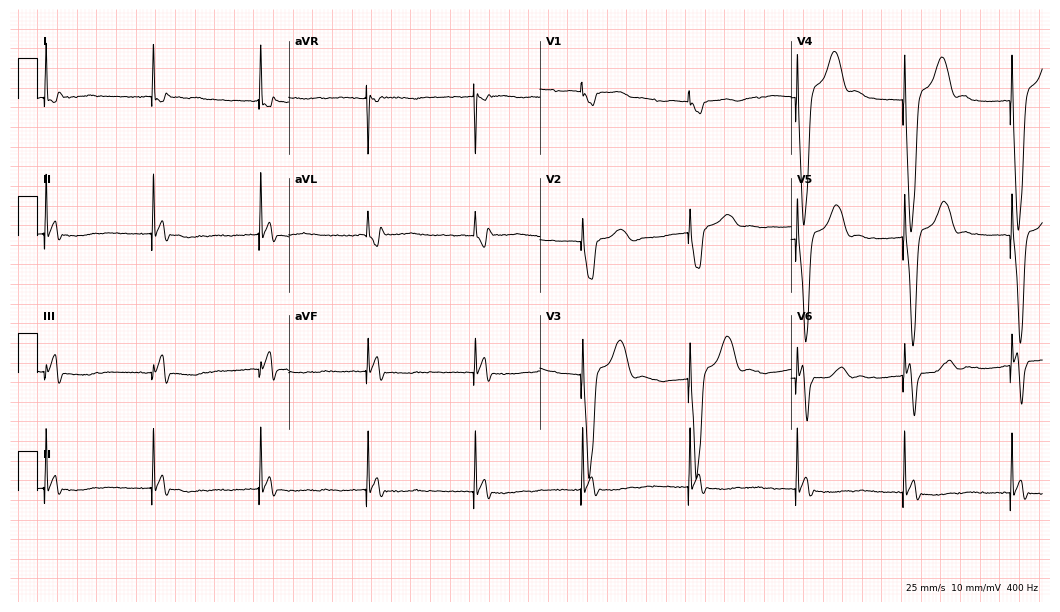
Electrocardiogram, an 82-year-old male patient. Of the six screened findings (first-degree AV block, right bundle branch block, left bundle branch block, sinus bradycardia, atrial fibrillation, sinus tachycardia), none is recorded.